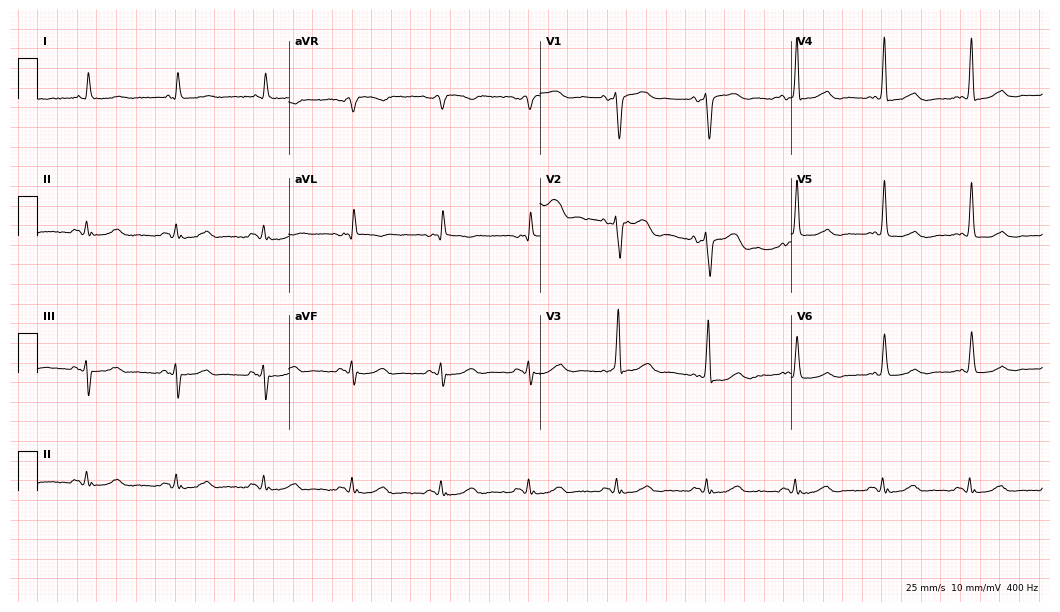
ECG — an 83-year-old male patient. Labelled as a normal ECG.